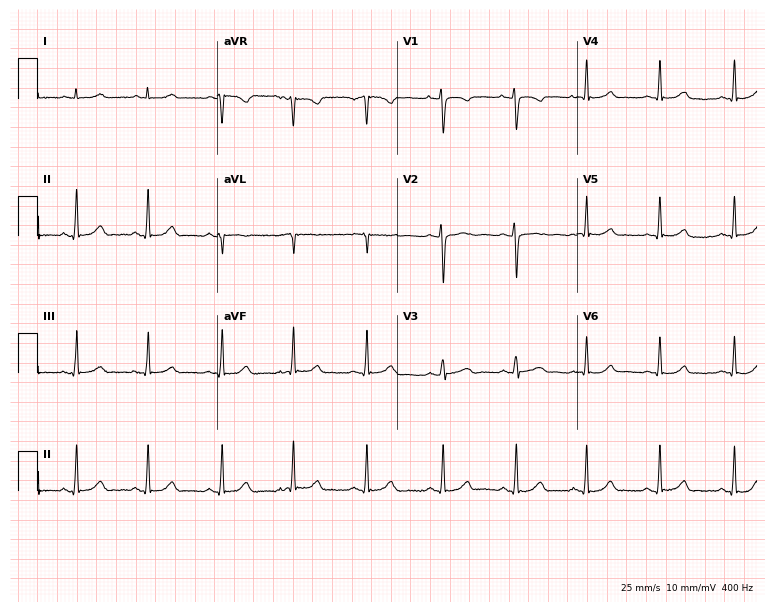
12-lead ECG from a 23-year-old female. Screened for six findings — first-degree AV block, right bundle branch block, left bundle branch block, sinus bradycardia, atrial fibrillation, sinus tachycardia — none is recorded.